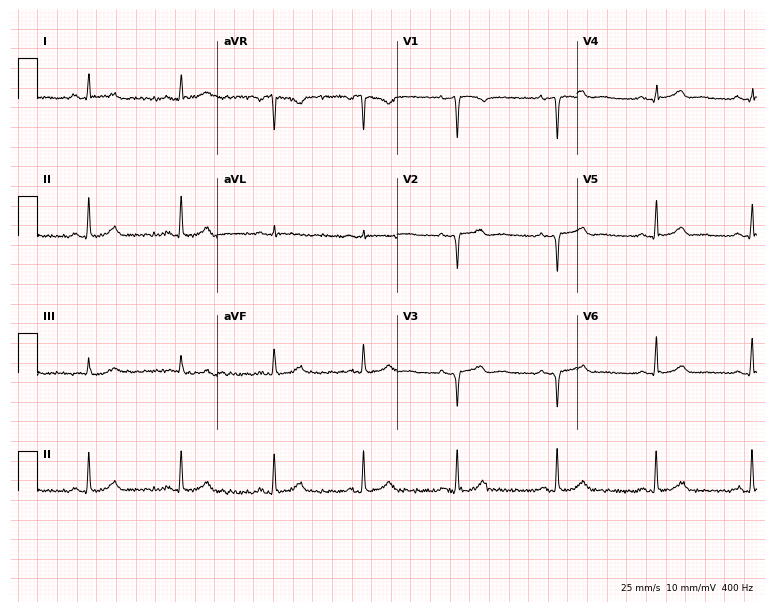
Electrocardiogram, a female patient, 42 years old. Overall reading on record: normal ECG.